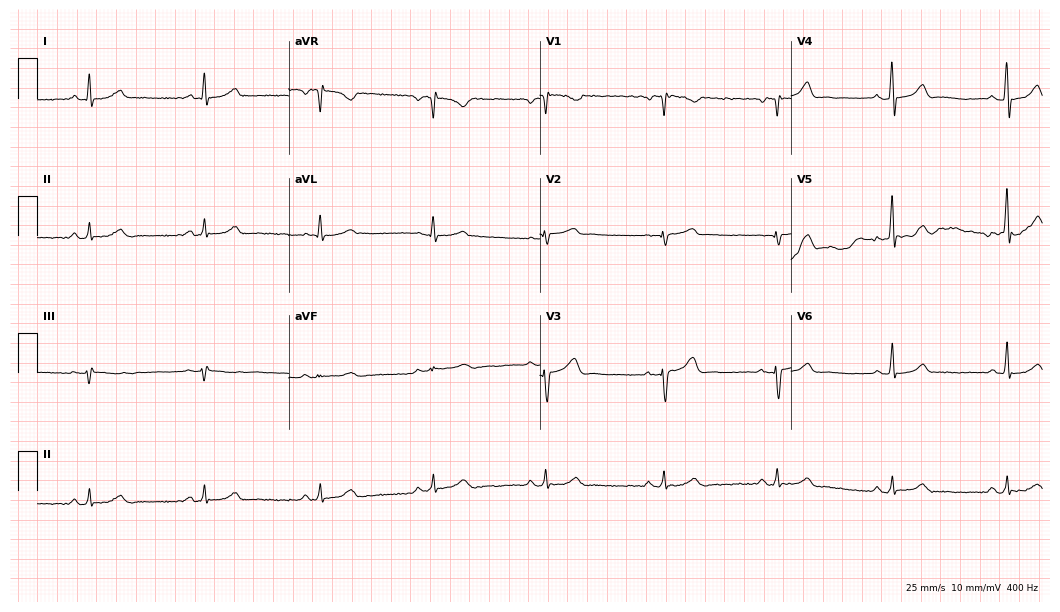
12-lead ECG from a male patient, 53 years old. No first-degree AV block, right bundle branch block, left bundle branch block, sinus bradycardia, atrial fibrillation or sinus tachycardia recorded for this tracing.